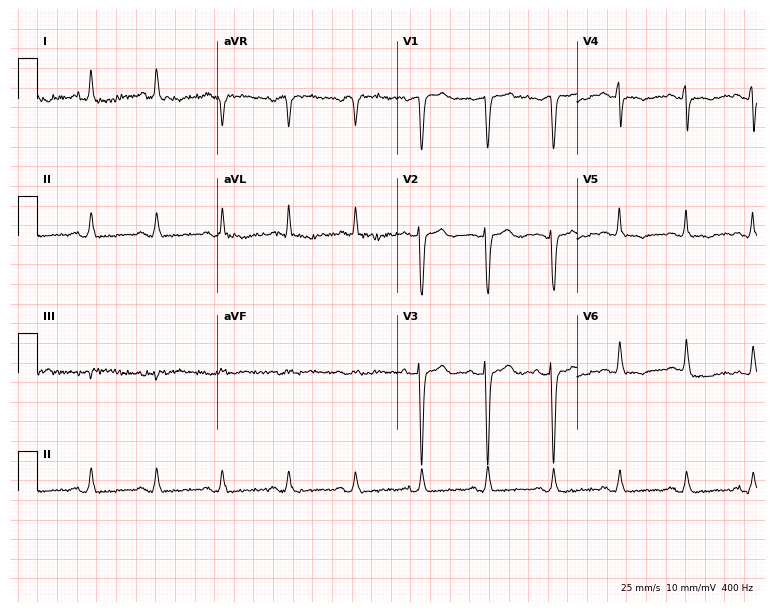
ECG (7.3-second recording at 400 Hz) — a male, 81 years old. Screened for six findings — first-degree AV block, right bundle branch block, left bundle branch block, sinus bradycardia, atrial fibrillation, sinus tachycardia — none is recorded.